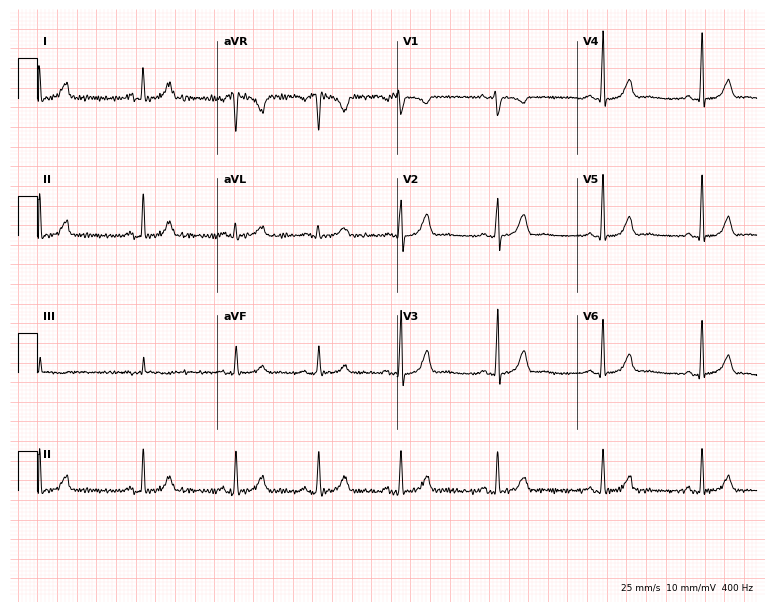
12-lead ECG from a 30-year-old woman. Screened for six findings — first-degree AV block, right bundle branch block, left bundle branch block, sinus bradycardia, atrial fibrillation, sinus tachycardia — none is recorded.